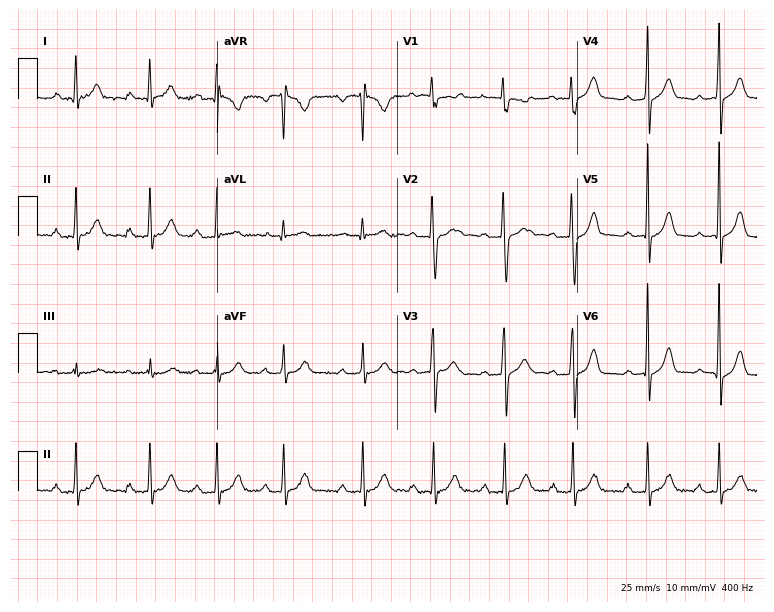
Standard 12-lead ECG recorded from a female patient, 21 years old. The tracing shows first-degree AV block.